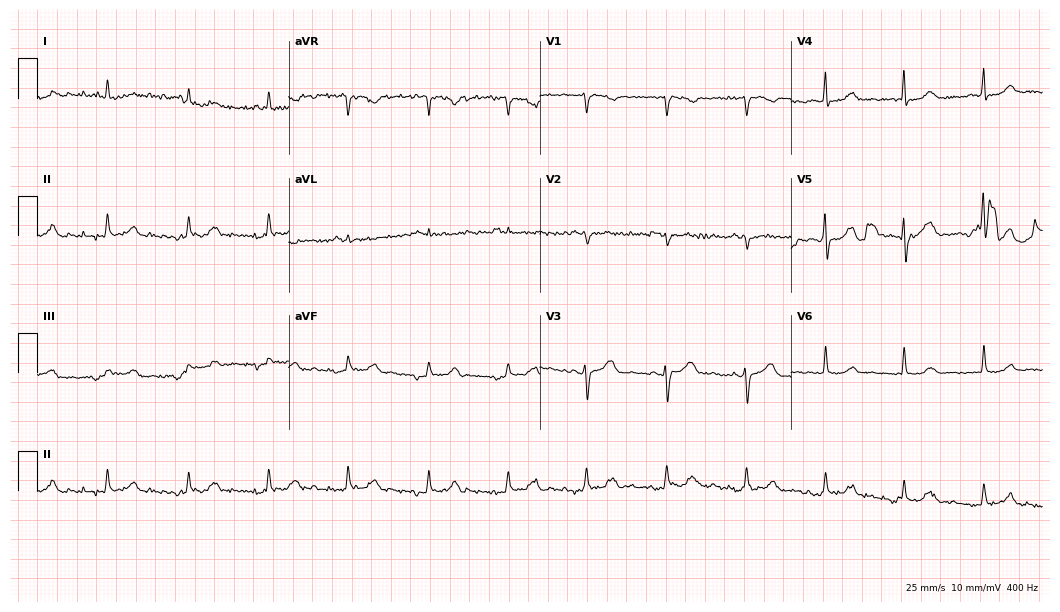
ECG (10.2-second recording at 400 Hz) — a 77-year-old female. Screened for six findings — first-degree AV block, right bundle branch block, left bundle branch block, sinus bradycardia, atrial fibrillation, sinus tachycardia — none is recorded.